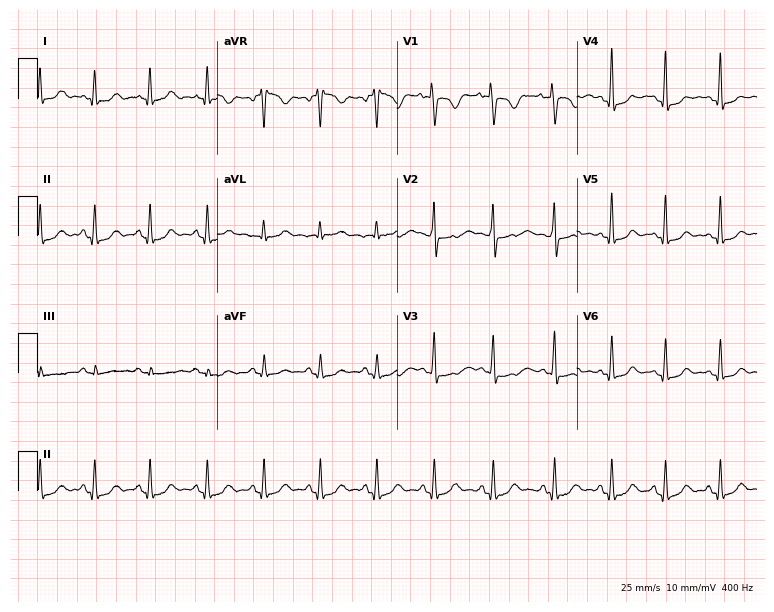
ECG (7.3-second recording at 400 Hz) — a woman, 42 years old. Screened for six findings — first-degree AV block, right bundle branch block, left bundle branch block, sinus bradycardia, atrial fibrillation, sinus tachycardia — none is recorded. Findings outside these six are not listed.